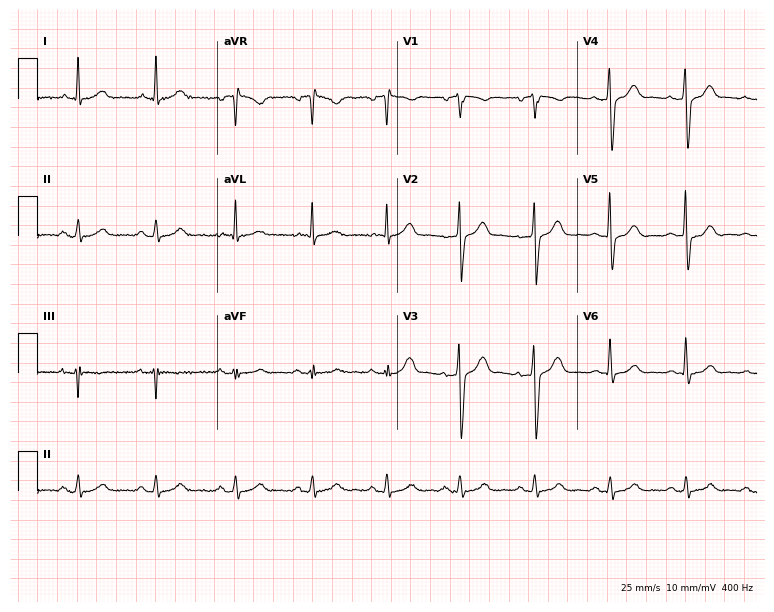
Electrocardiogram (7.3-second recording at 400 Hz), a male patient, 60 years old. Overall reading on record: normal ECG.